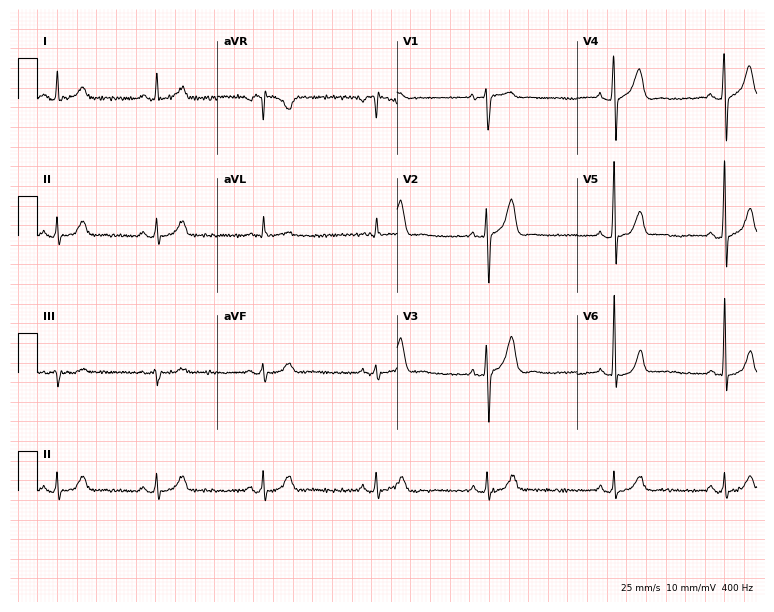
12-lead ECG from a female patient, 49 years old. No first-degree AV block, right bundle branch block, left bundle branch block, sinus bradycardia, atrial fibrillation or sinus tachycardia recorded for this tracing.